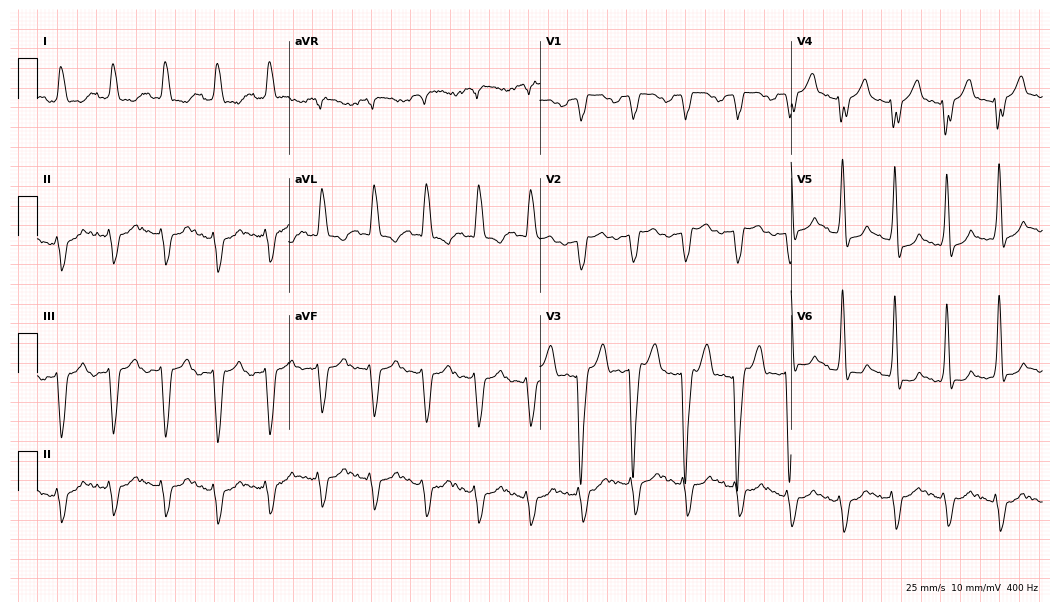
ECG — a male, 56 years old. Findings include left bundle branch block, sinus tachycardia (a sinus rate of 100 beats per minute or more).